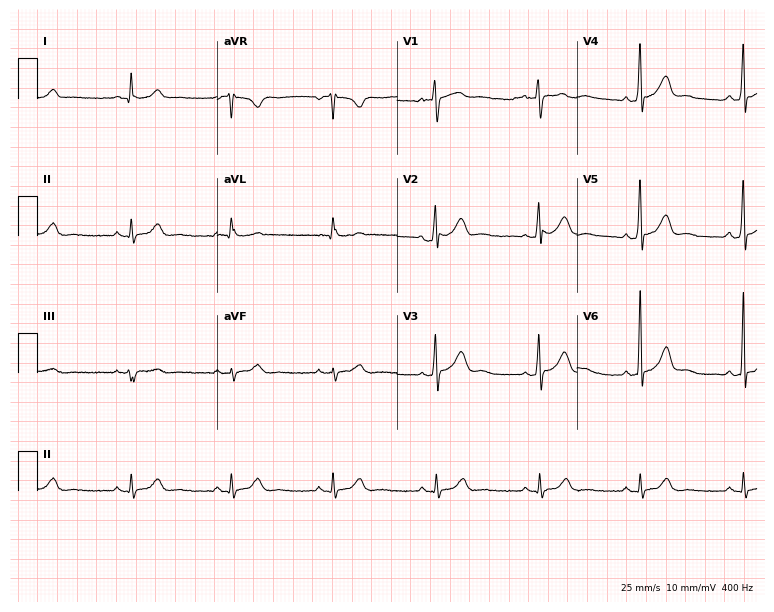
12-lead ECG from a 38-year-old male. Recorded interpretation: within normal limits.